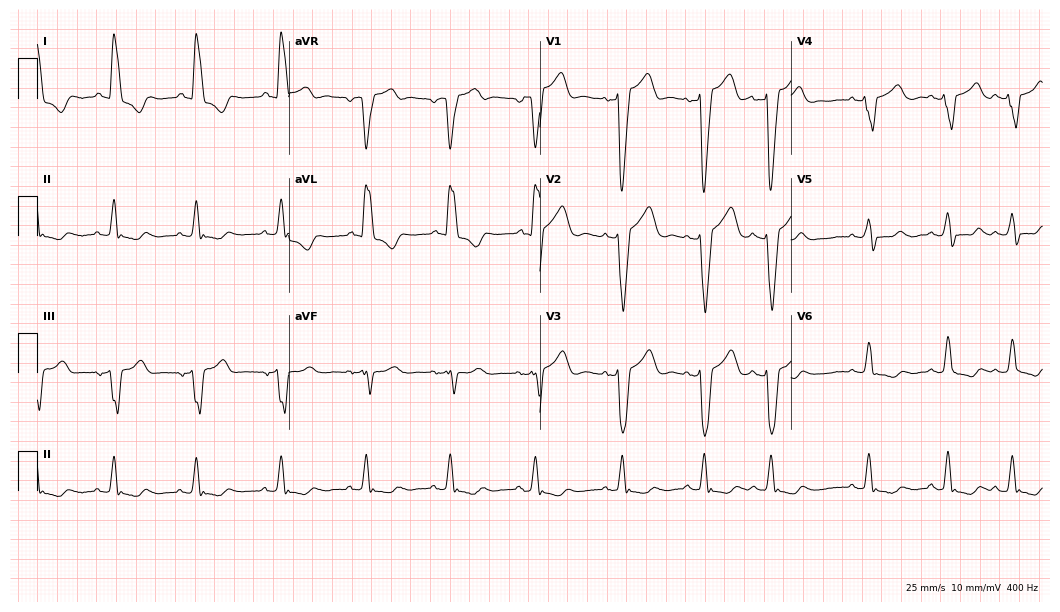
Standard 12-lead ECG recorded from a woman, 73 years old. The tracing shows left bundle branch block.